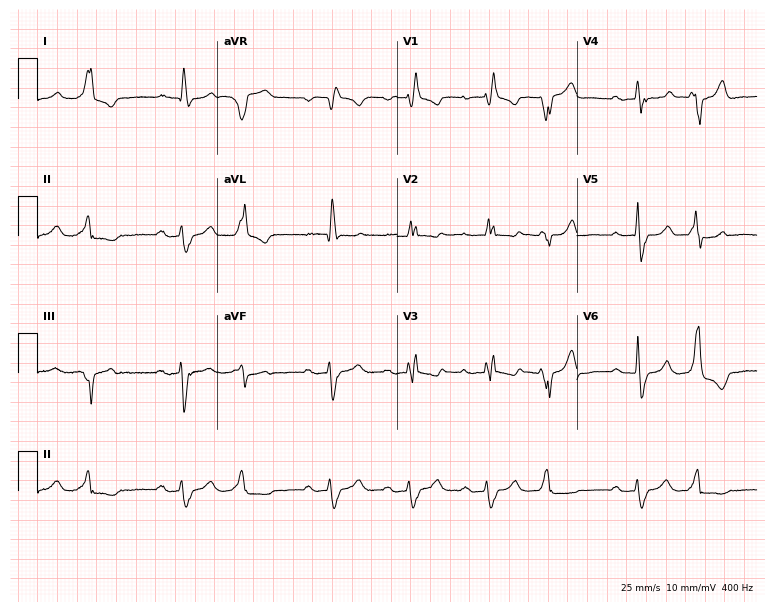
Standard 12-lead ECG recorded from a 78-year-old female patient. The tracing shows right bundle branch block.